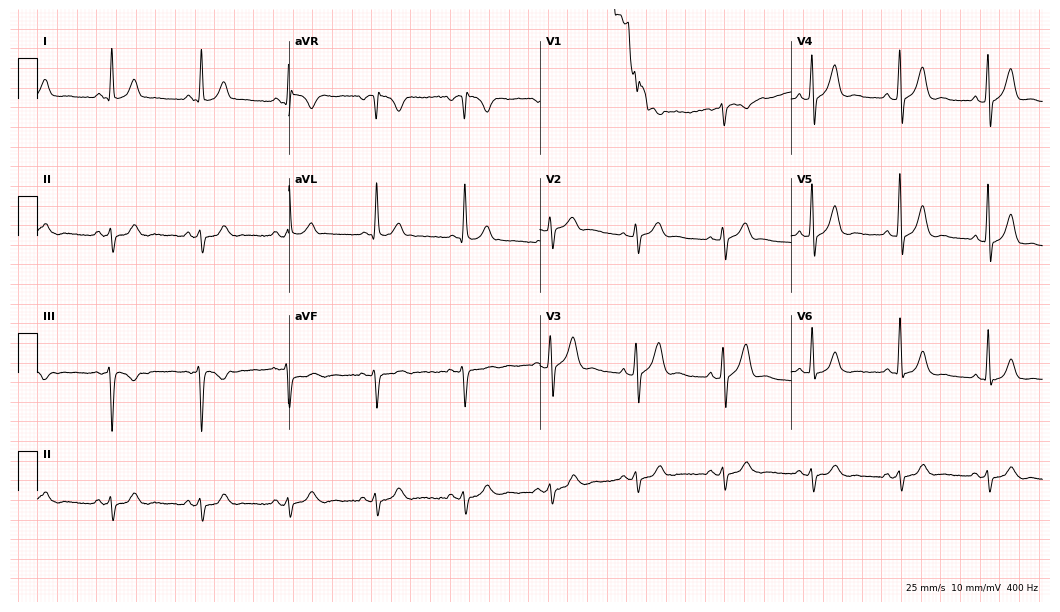
Resting 12-lead electrocardiogram. Patient: a 72-year-old man. None of these six findings is recorded: first-degree AV block, right bundle branch block (RBBB), left bundle branch block (LBBB), sinus bradycardia, atrial fibrillation (AF), sinus tachycardia.